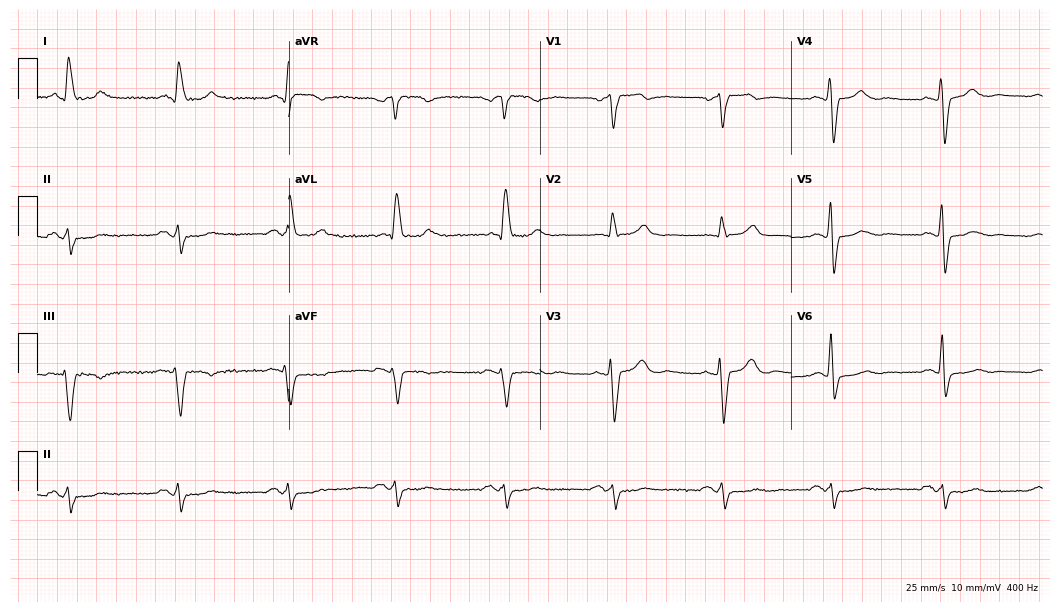
Resting 12-lead electrocardiogram. Patient: a male, 86 years old. The tracing shows left bundle branch block (LBBB).